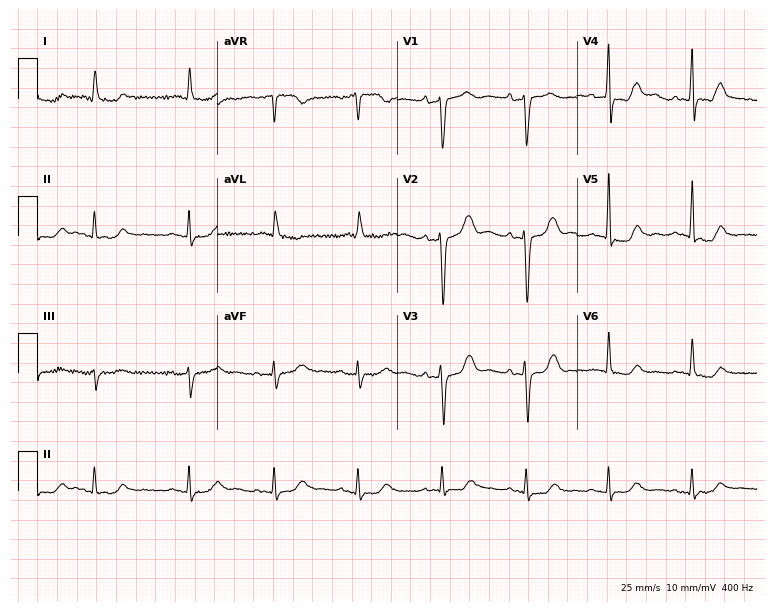
12-lead ECG from a 69-year-old female. Screened for six findings — first-degree AV block, right bundle branch block, left bundle branch block, sinus bradycardia, atrial fibrillation, sinus tachycardia — none is recorded.